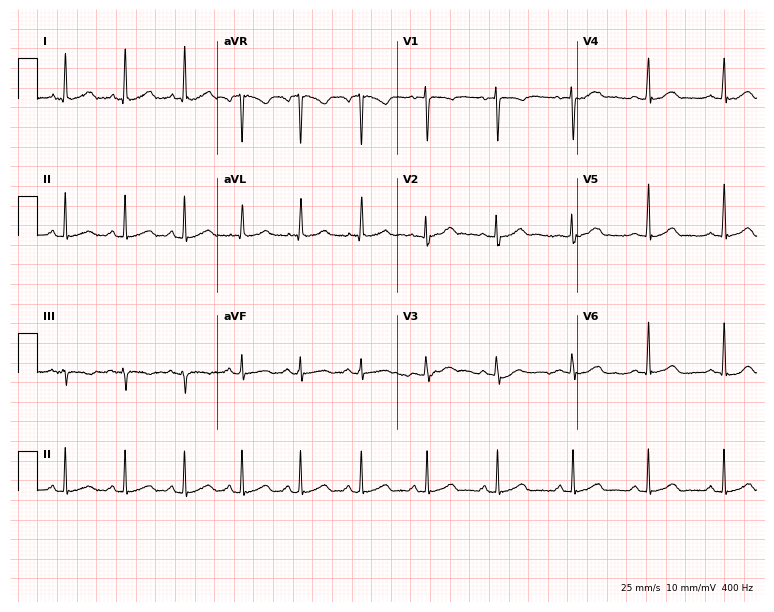
Electrocardiogram (7.3-second recording at 400 Hz), a female patient, 26 years old. Overall reading on record: normal ECG.